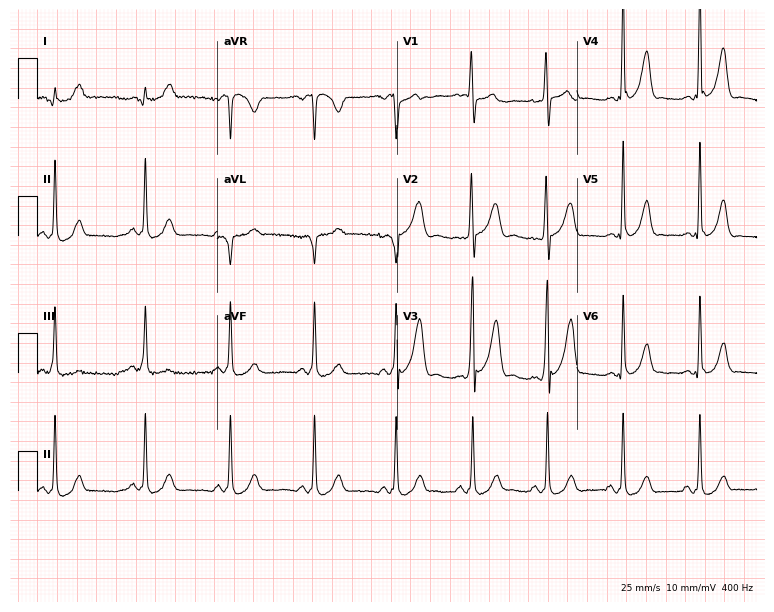
ECG (7.3-second recording at 400 Hz) — a 28-year-old man. Screened for six findings — first-degree AV block, right bundle branch block, left bundle branch block, sinus bradycardia, atrial fibrillation, sinus tachycardia — none is recorded. Other findings, if any, are not listed.